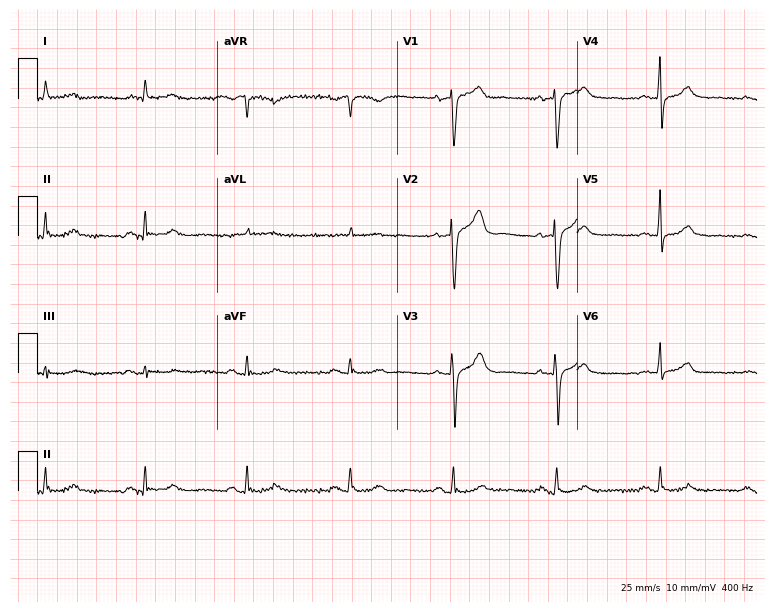
Resting 12-lead electrocardiogram (7.3-second recording at 400 Hz). Patient: an 85-year-old male. None of these six findings is recorded: first-degree AV block, right bundle branch block, left bundle branch block, sinus bradycardia, atrial fibrillation, sinus tachycardia.